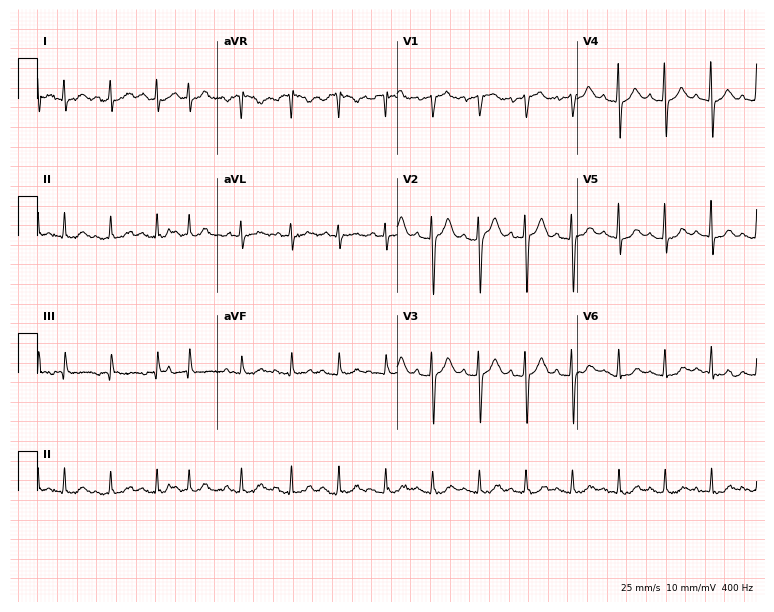
ECG (7.3-second recording at 400 Hz) — a 67-year-old male patient. Screened for six findings — first-degree AV block, right bundle branch block (RBBB), left bundle branch block (LBBB), sinus bradycardia, atrial fibrillation (AF), sinus tachycardia — none is recorded.